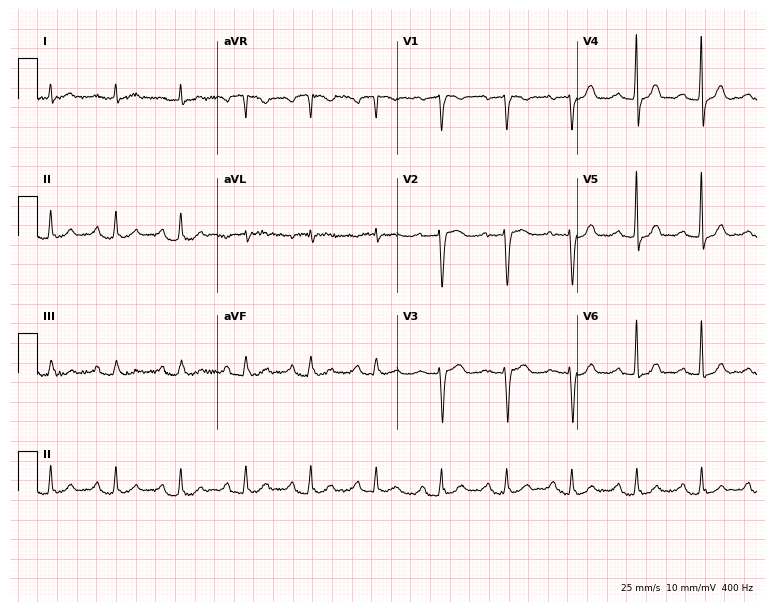
12-lead ECG from a woman, 59 years old. Findings include first-degree AV block.